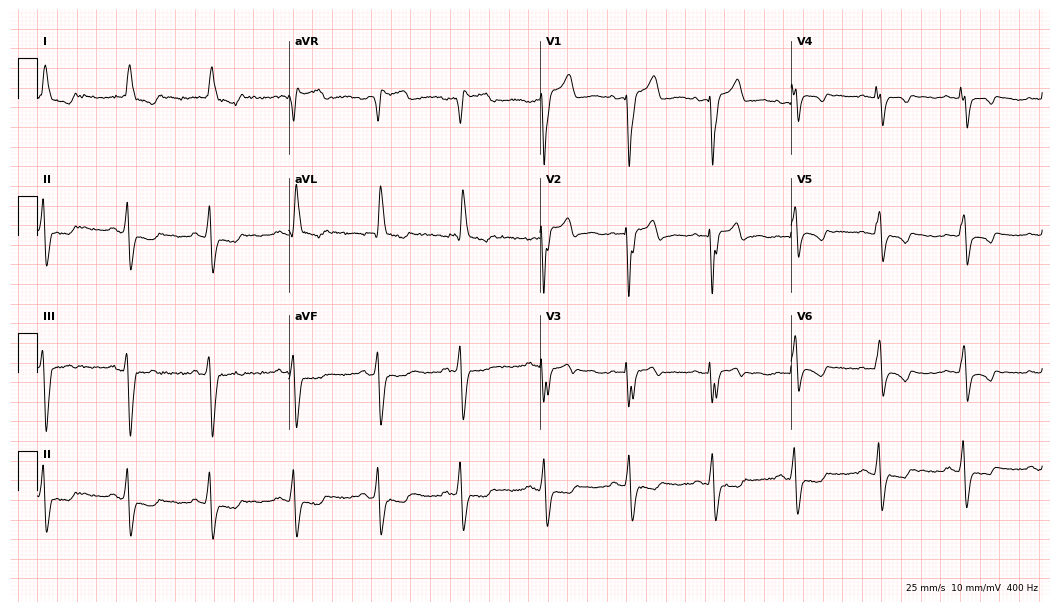
12-lead ECG (10.2-second recording at 400 Hz) from a female patient, 77 years old. Findings include left bundle branch block.